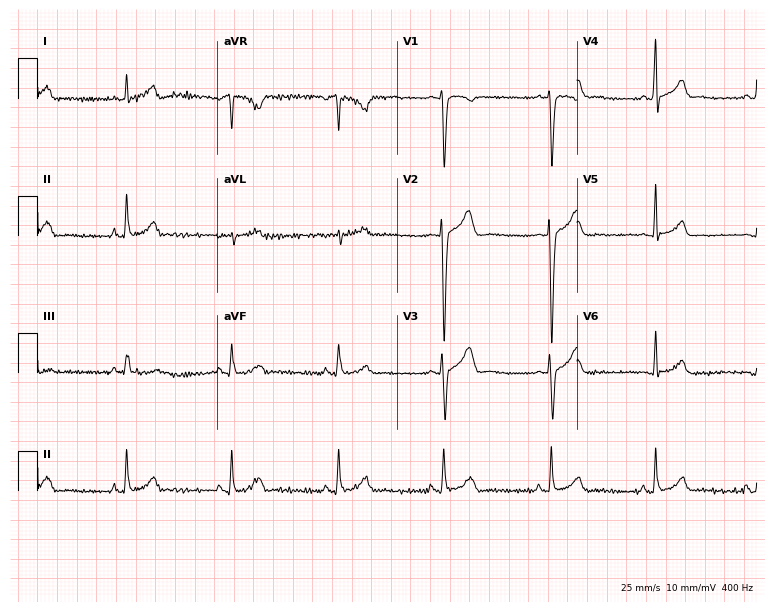
ECG (7.3-second recording at 400 Hz) — a man, 20 years old. Labelled as a normal ECG.